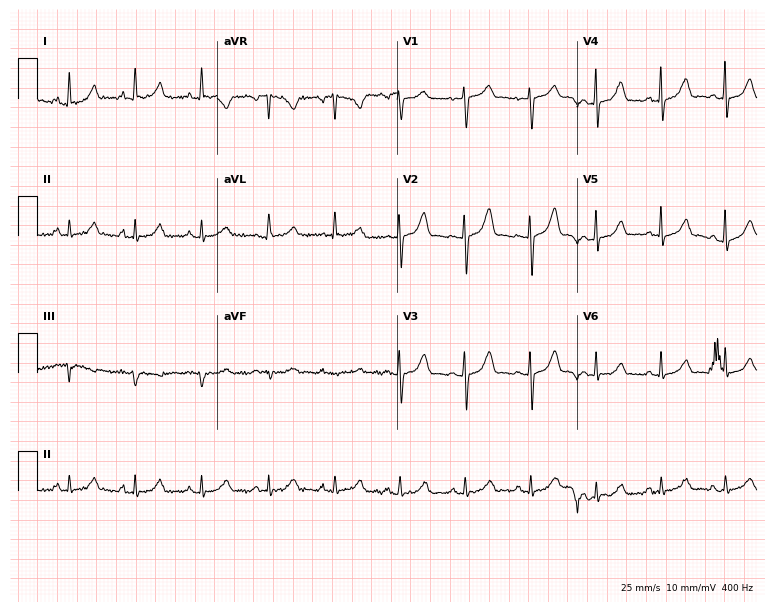
12-lead ECG from a 74-year-old female. Labelled as a normal ECG.